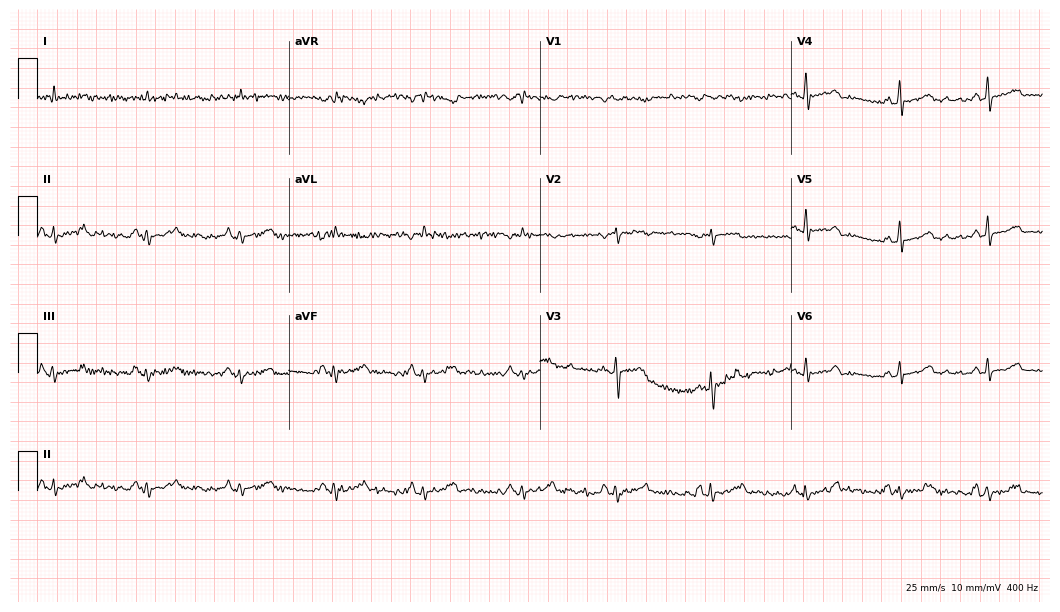
ECG (10.2-second recording at 400 Hz) — an 80-year-old male patient. Screened for six findings — first-degree AV block, right bundle branch block, left bundle branch block, sinus bradycardia, atrial fibrillation, sinus tachycardia — none is recorded. Findings outside these six are not listed.